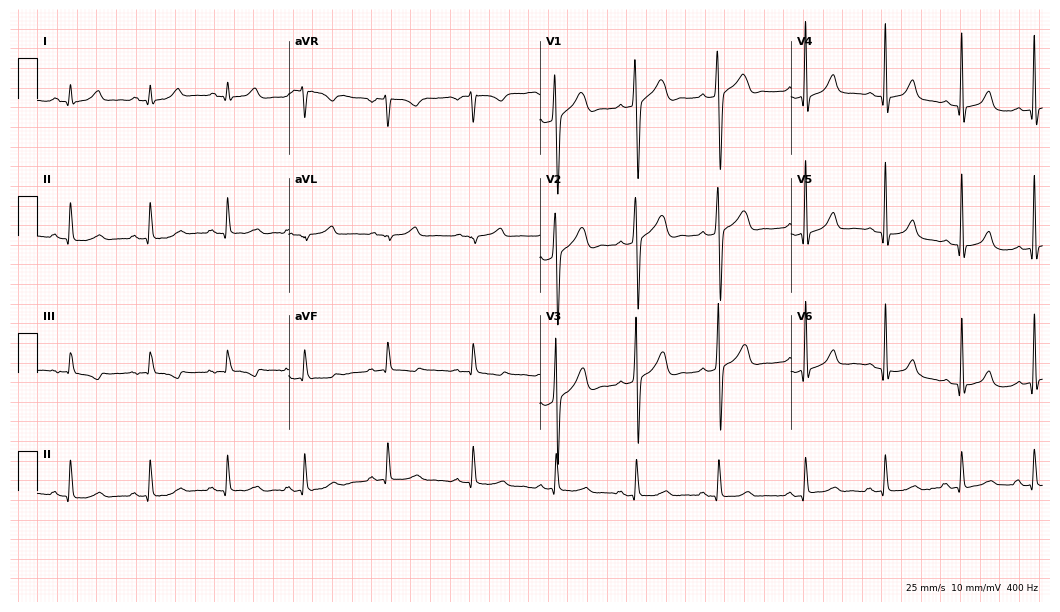
Standard 12-lead ECG recorded from a man, 17 years old (10.2-second recording at 400 Hz). Read as a normal ECG.